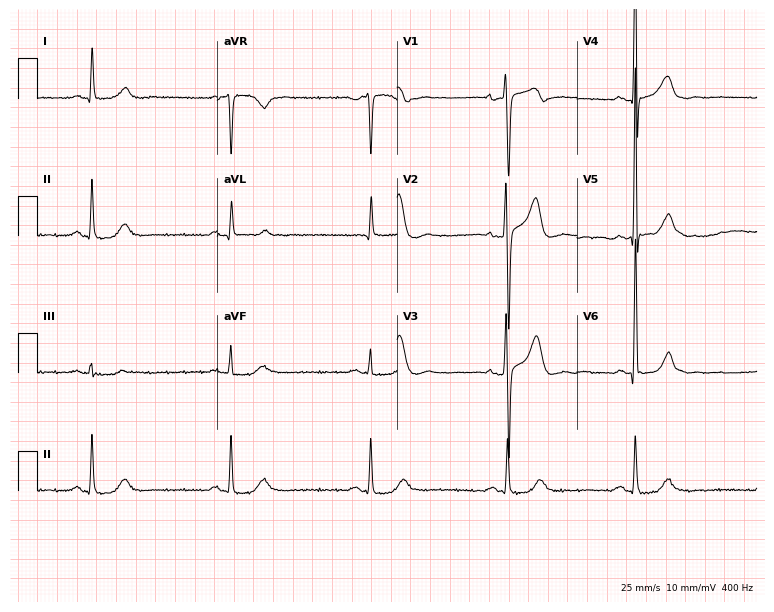
ECG (7.3-second recording at 400 Hz) — a 63-year-old man. Findings include sinus bradycardia (a sinus rate of 50 beats per minute or less).